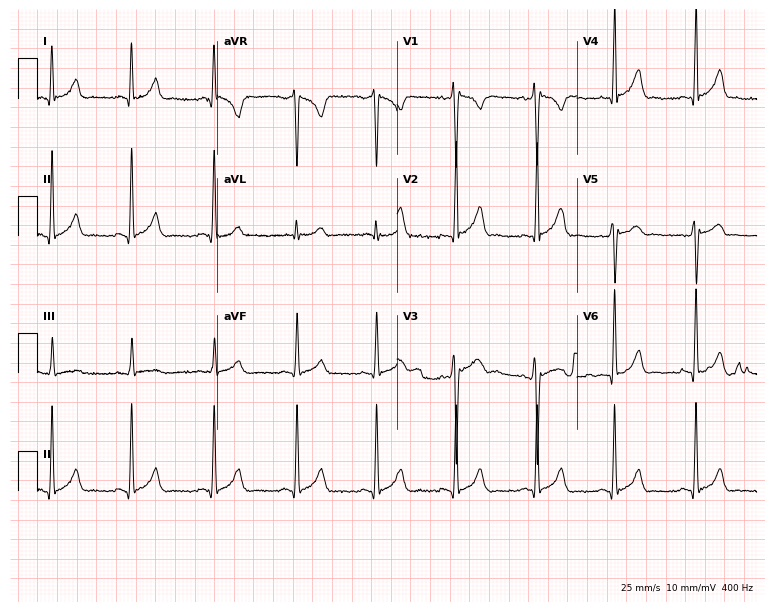
Resting 12-lead electrocardiogram. Patient: a 23-year-old male. None of these six findings is recorded: first-degree AV block, right bundle branch block, left bundle branch block, sinus bradycardia, atrial fibrillation, sinus tachycardia. Other findings, if any, are not listed.